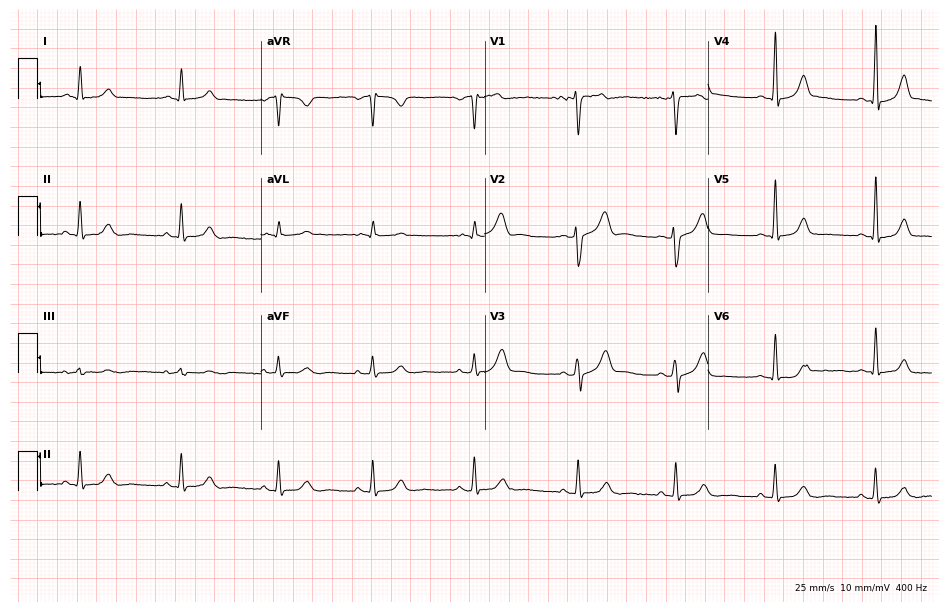
12-lead ECG (9.1-second recording at 400 Hz) from a woman, 51 years old. Labelled as a normal ECG.